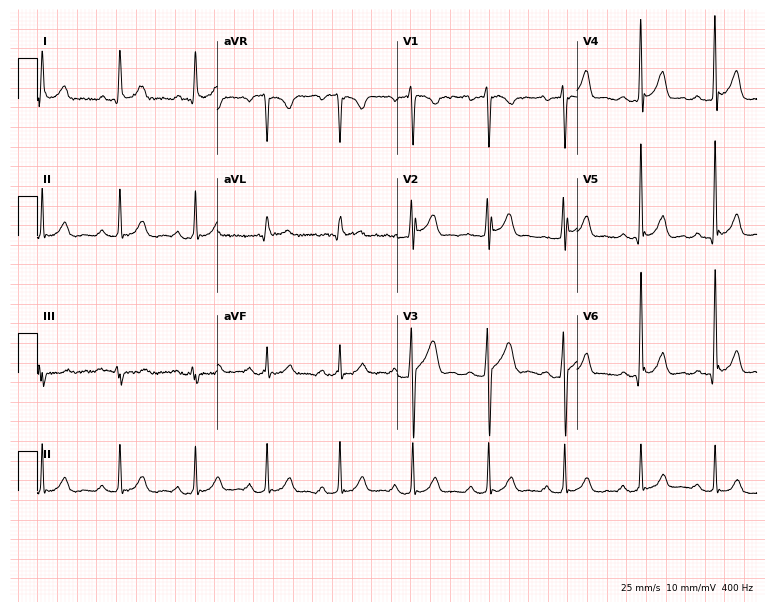
Resting 12-lead electrocardiogram (7.3-second recording at 400 Hz). Patient: a man, 46 years old. Read as a normal ECG.